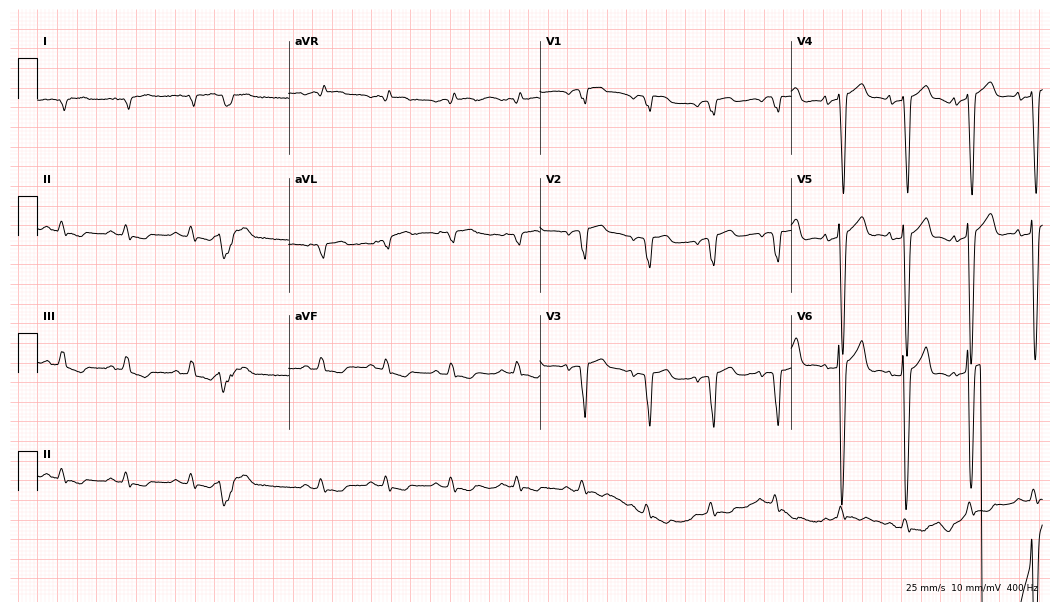
Resting 12-lead electrocardiogram (10.2-second recording at 400 Hz). Patient: a male, 74 years old. None of these six findings is recorded: first-degree AV block, right bundle branch block, left bundle branch block, sinus bradycardia, atrial fibrillation, sinus tachycardia. Only these six findings were labelled.